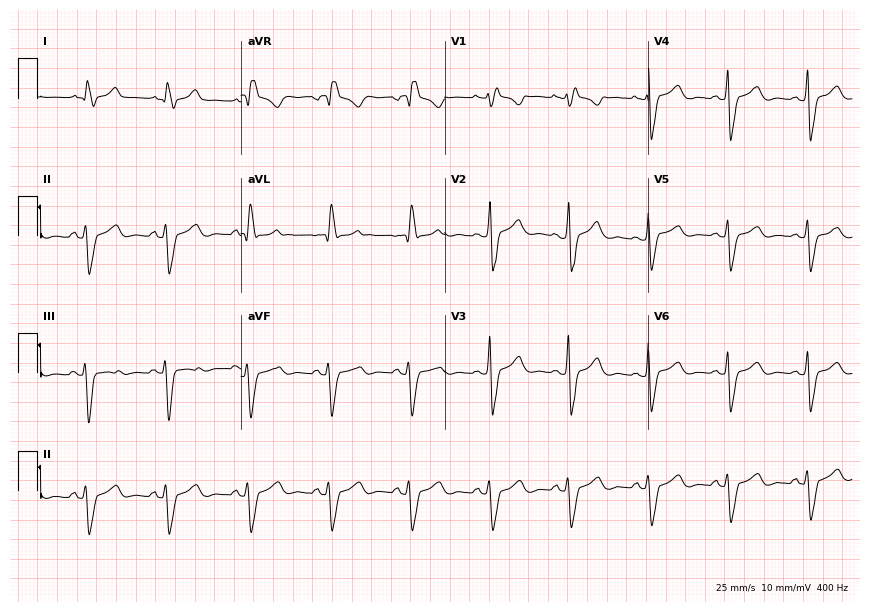
ECG — a 47-year-old male. Findings include right bundle branch block.